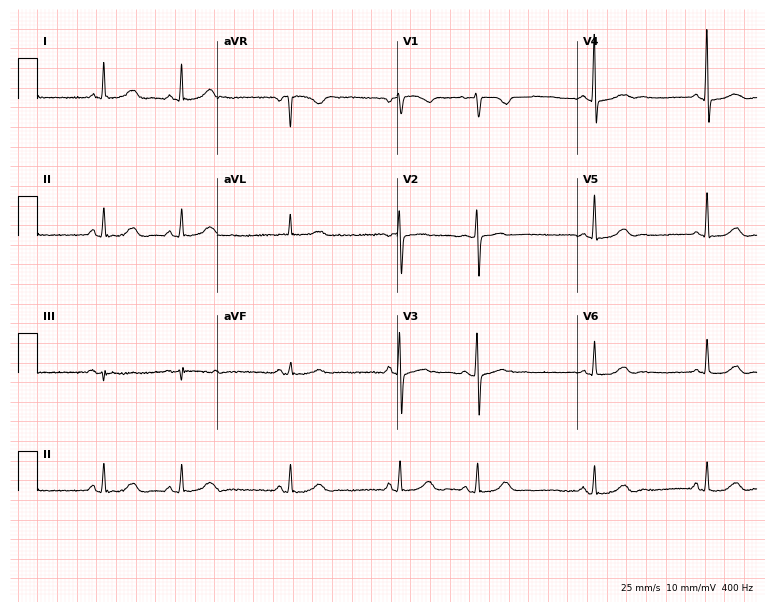
Resting 12-lead electrocardiogram. Patient: a female, 69 years old. None of these six findings is recorded: first-degree AV block, right bundle branch block, left bundle branch block, sinus bradycardia, atrial fibrillation, sinus tachycardia.